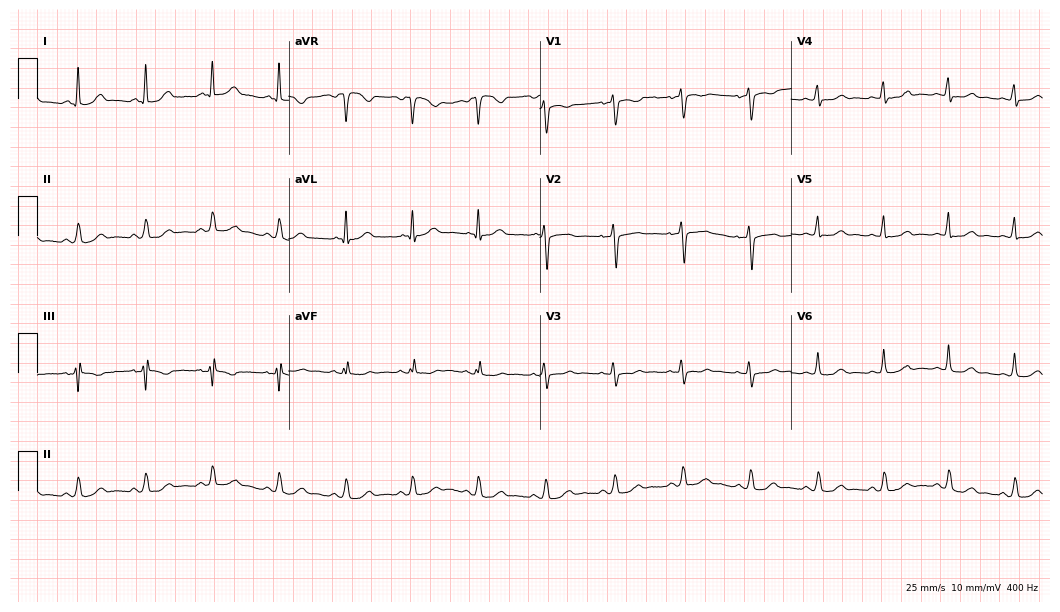
Standard 12-lead ECG recorded from a female patient, 41 years old (10.2-second recording at 400 Hz). None of these six findings is recorded: first-degree AV block, right bundle branch block (RBBB), left bundle branch block (LBBB), sinus bradycardia, atrial fibrillation (AF), sinus tachycardia.